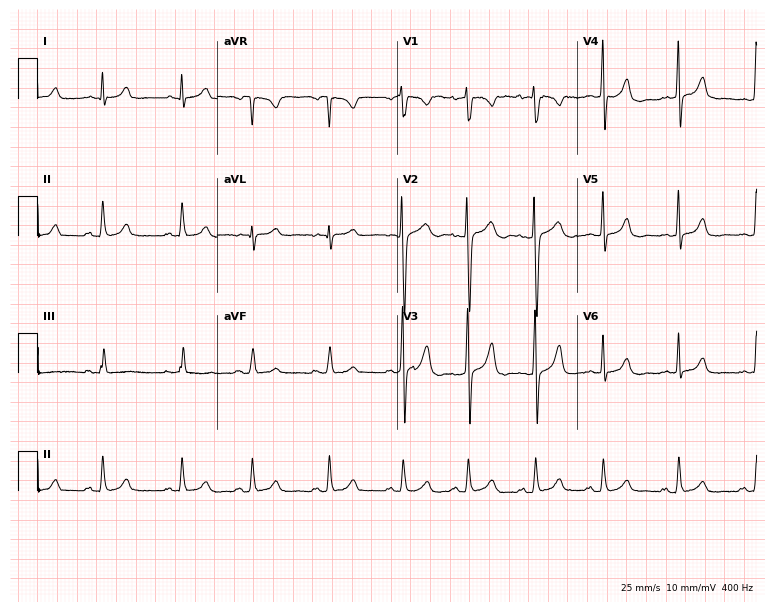
12-lead ECG (7.3-second recording at 400 Hz) from a 22-year-old woman. Screened for six findings — first-degree AV block, right bundle branch block, left bundle branch block, sinus bradycardia, atrial fibrillation, sinus tachycardia — none is recorded.